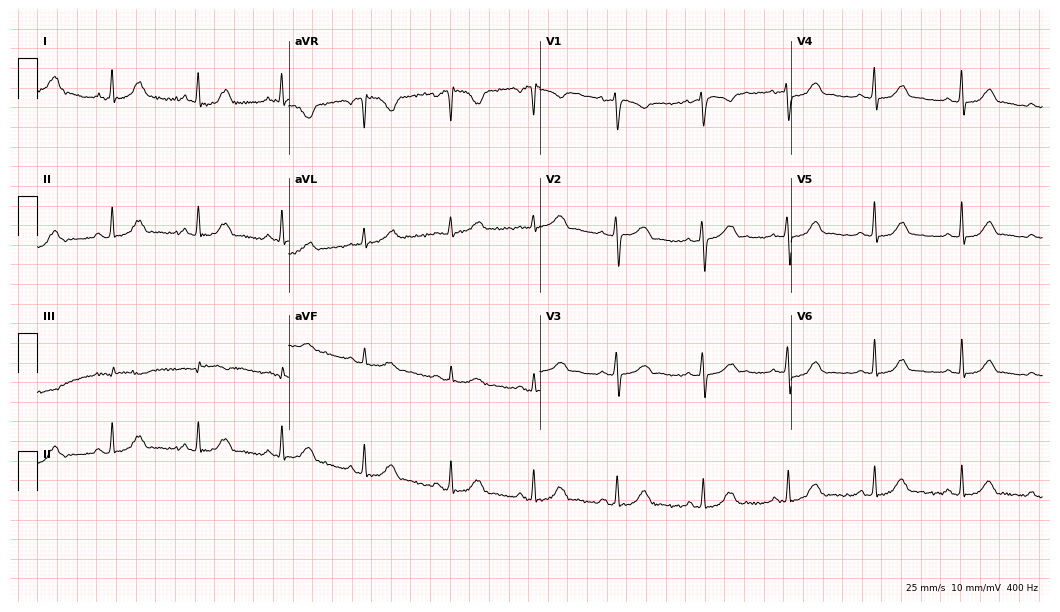
ECG — a 28-year-old female. Labelled as a normal ECG.